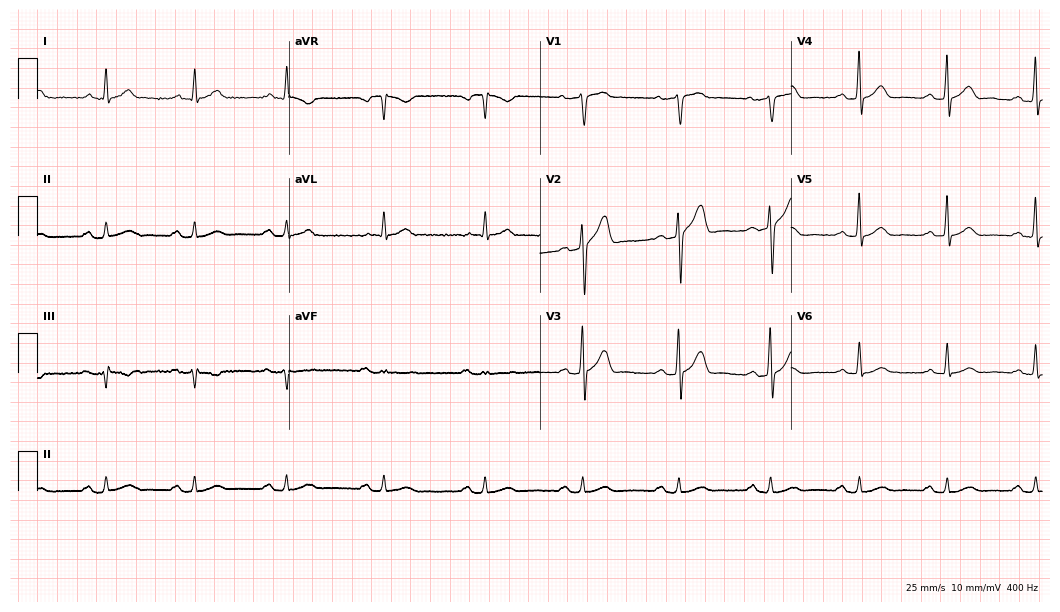
Electrocardiogram, a male, 71 years old. Overall reading on record: normal ECG.